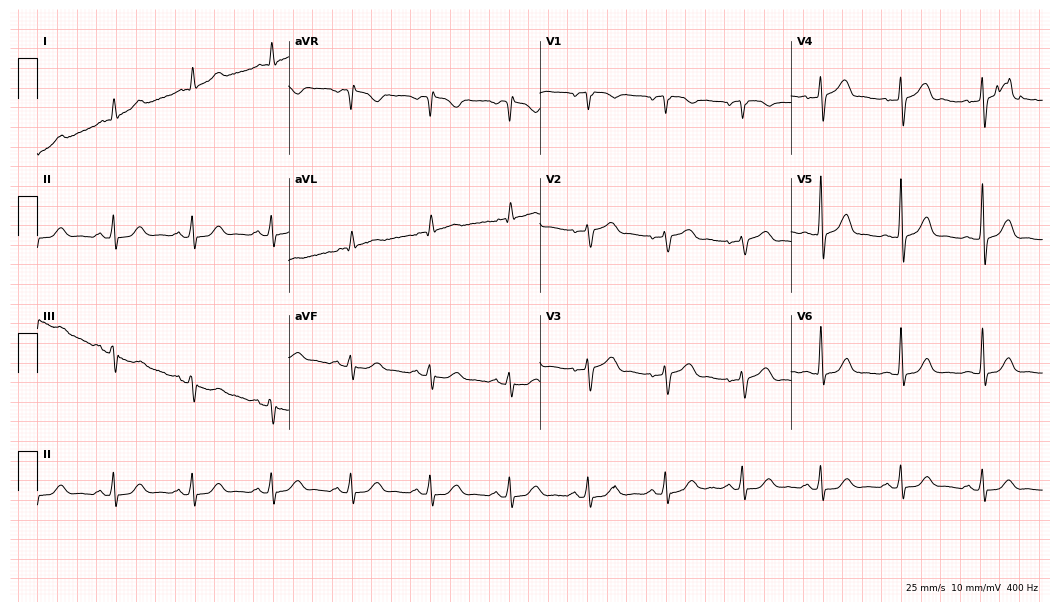
ECG (10.2-second recording at 400 Hz) — a man, 61 years old. Screened for six findings — first-degree AV block, right bundle branch block (RBBB), left bundle branch block (LBBB), sinus bradycardia, atrial fibrillation (AF), sinus tachycardia — none is recorded.